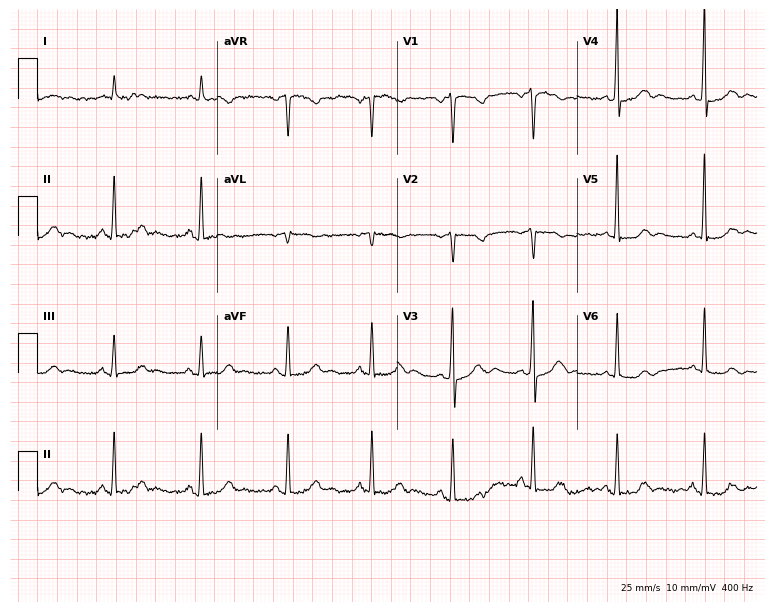
12-lead ECG from a 58-year-old man. Labelled as a normal ECG.